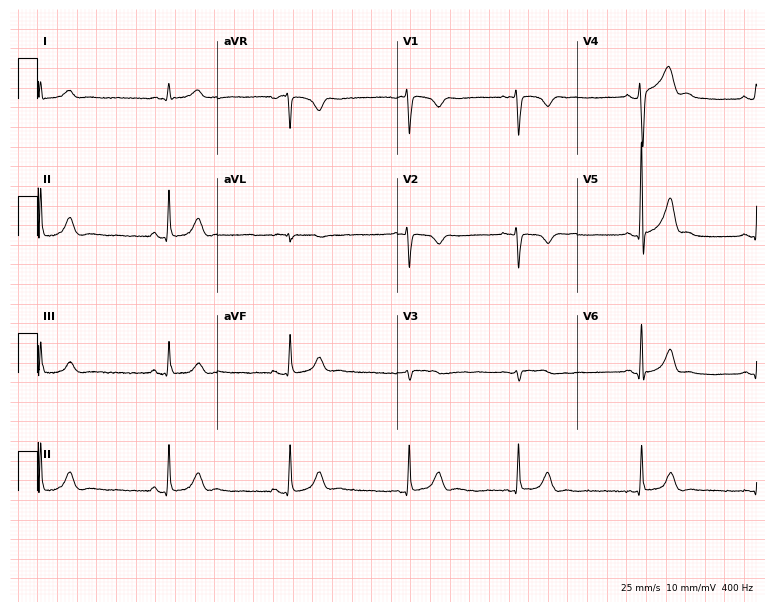
12-lead ECG from a male patient, 31 years old. Screened for six findings — first-degree AV block, right bundle branch block, left bundle branch block, sinus bradycardia, atrial fibrillation, sinus tachycardia — none is recorded.